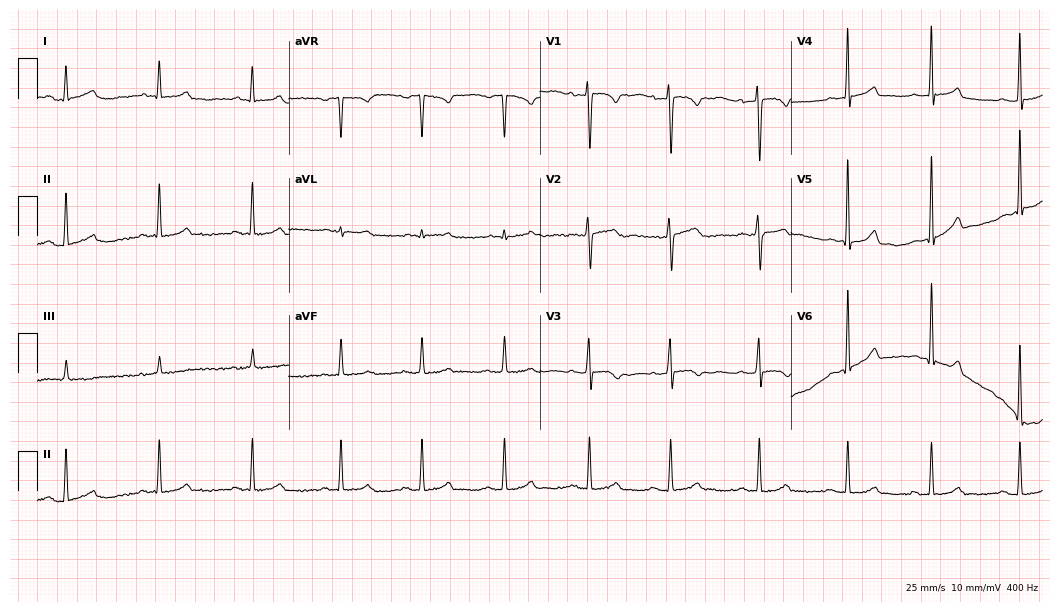
ECG — a female patient, 42 years old. Labelled as a normal ECG.